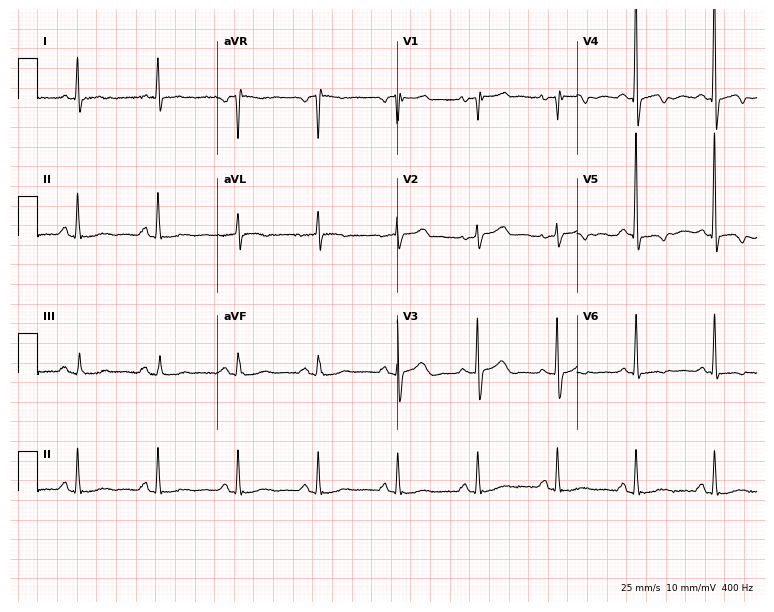
Electrocardiogram, a 79-year-old female patient. Of the six screened findings (first-degree AV block, right bundle branch block, left bundle branch block, sinus bradycardia, atrial fibrillation, sinus tachycardia), none is recorded. Findings outside these six are not listed.